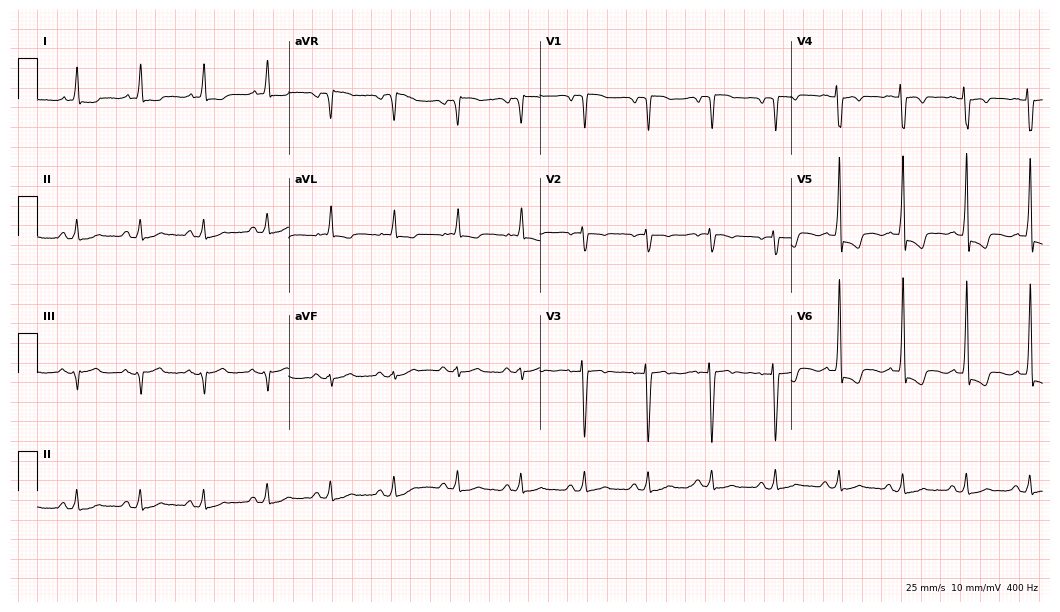
Electrocardiogram (10.2-second recording at 400 Hz), a male patient, 56 years old. Of the six screened findings (first-degree AV block, right bundle branch block, left bundle branch block, sinus bradycardia, atrial fibrillation, sinus tachycardia), none is recorded. Other findings, if any, are not listed.